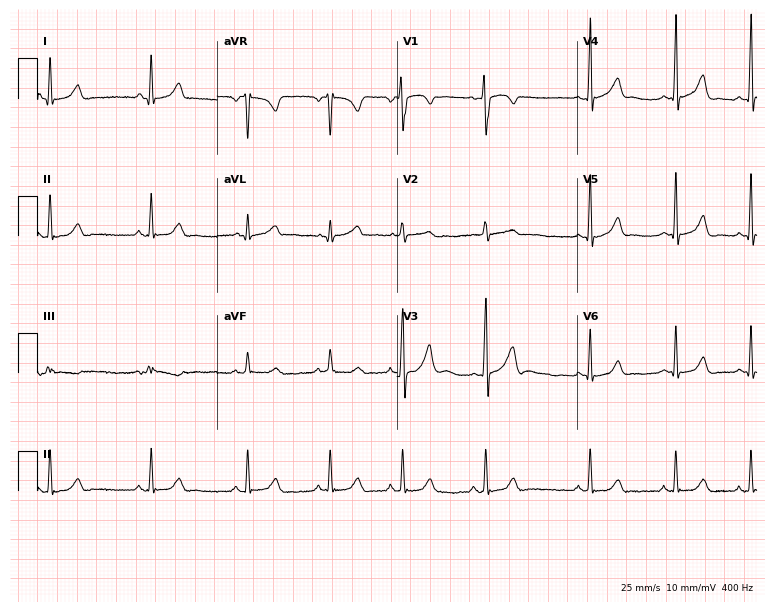
12-lead ECG (7.3-second recording at 400 Hz) from a woman, 21 years old. Screened for six findings — first-degree AV block, right bundle branch block, left bundle branch block, sinus bradycardia, atrial fibrillation, sinus tachycardia — none is recorded.